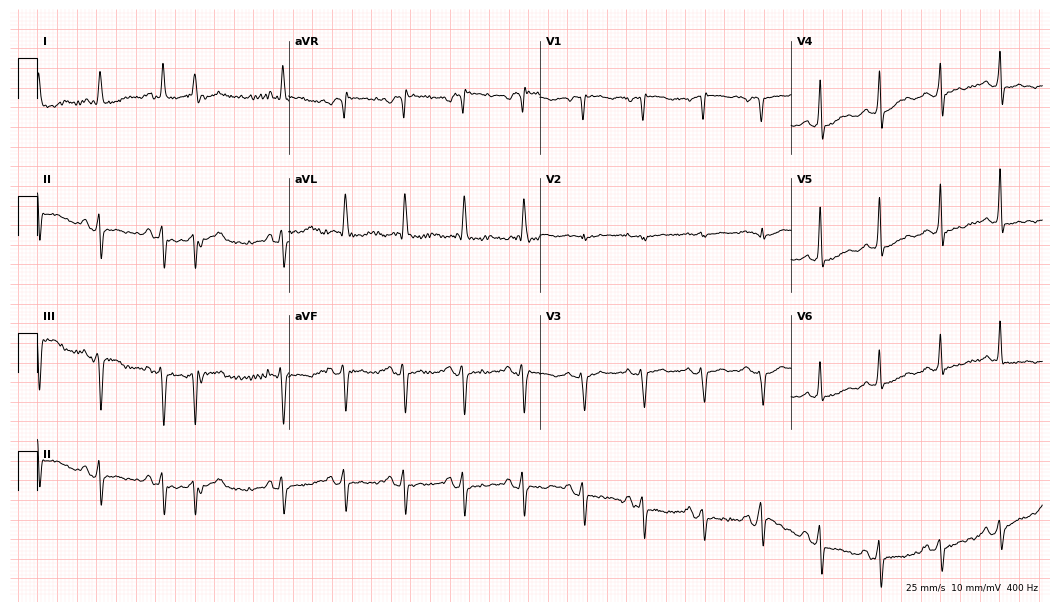
Standard 12-lead ECG recorded from a woman, 75 years old (10.2-second recording at 400 Hz). None of these six findings is recorded: first-degree AV block, right bundle branch block, left bundle branch block, sinus bradycardia, atrial fibrillation, sinus tachycardia.